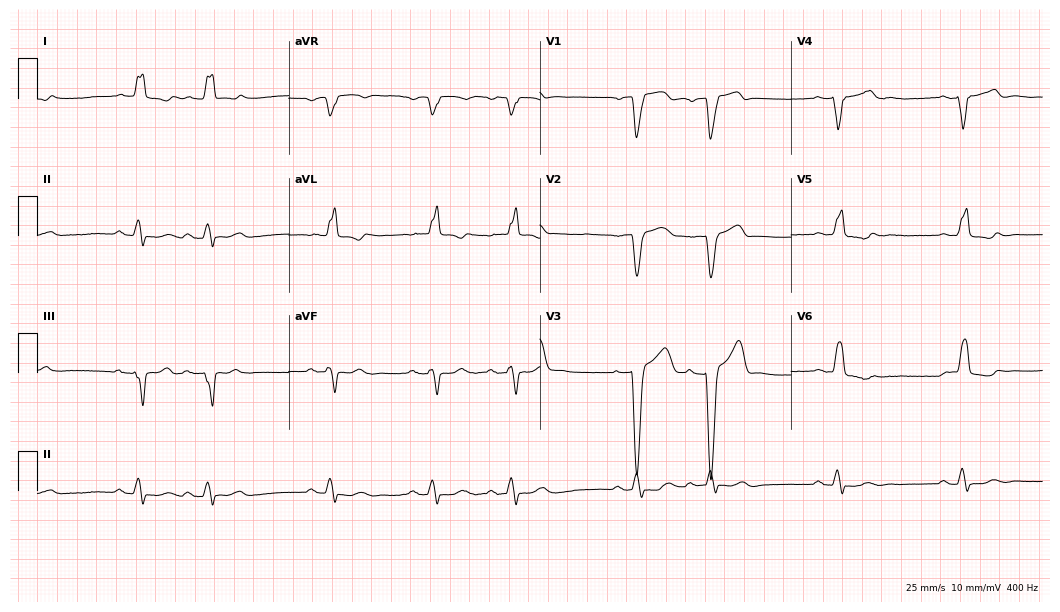
12-lead ECG from a man, 80 years old (10.2-second recording at 400 Hz). Shows left bundle branch block.